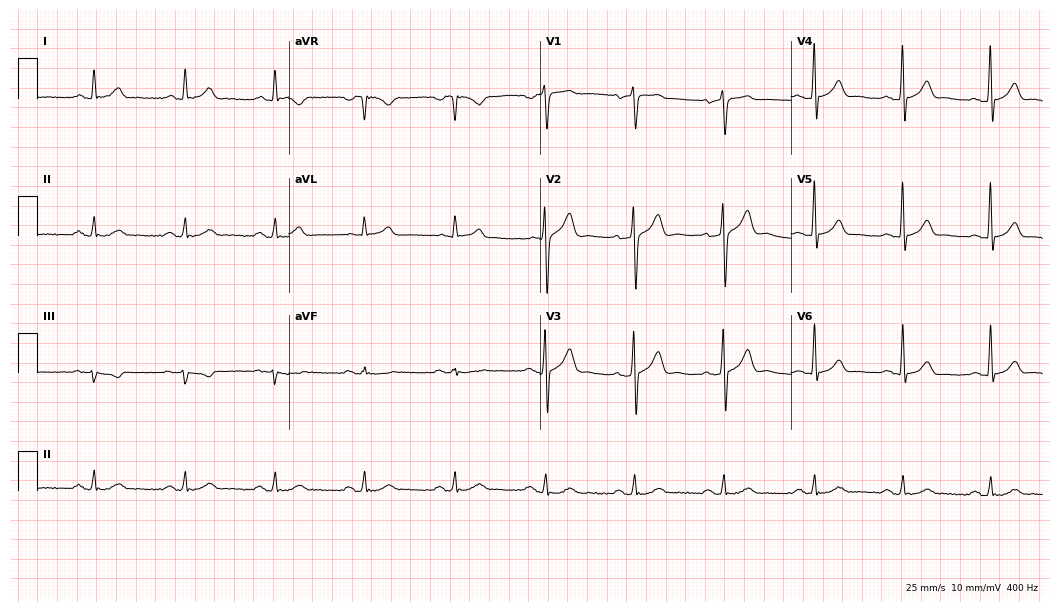
12-lead ECG from a male, 51 years old. Screened for six findings — first-degree AV block, right bundle branch block, left bundle branch block, sinus bradycardia, atrial fibrillation, sinus tachycardia — none is recorded. Only these six findings were labelled.